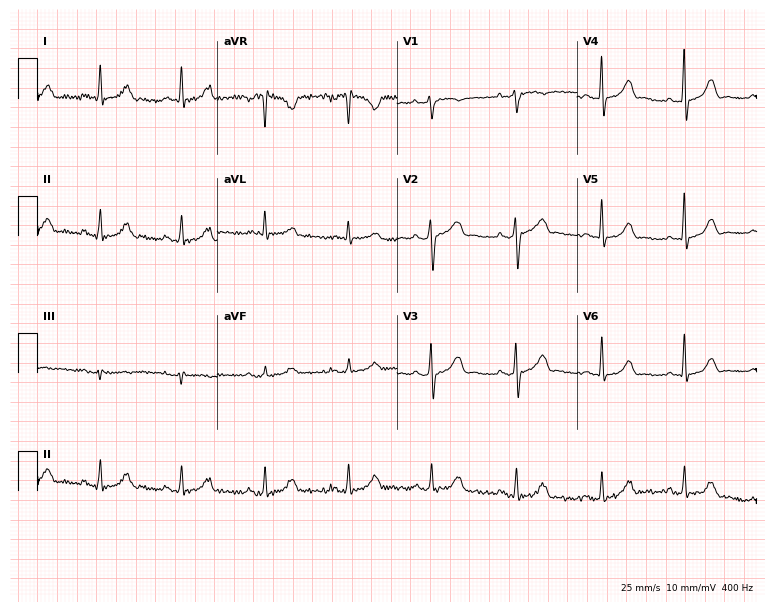
ECG — a woman, 71 years old. Screened for six findings — first-degree AV block, right bundle branch block, left bundle branch block, sinus bradycardia, atrial fibrillation, sinus tachycardia — none is recorded.